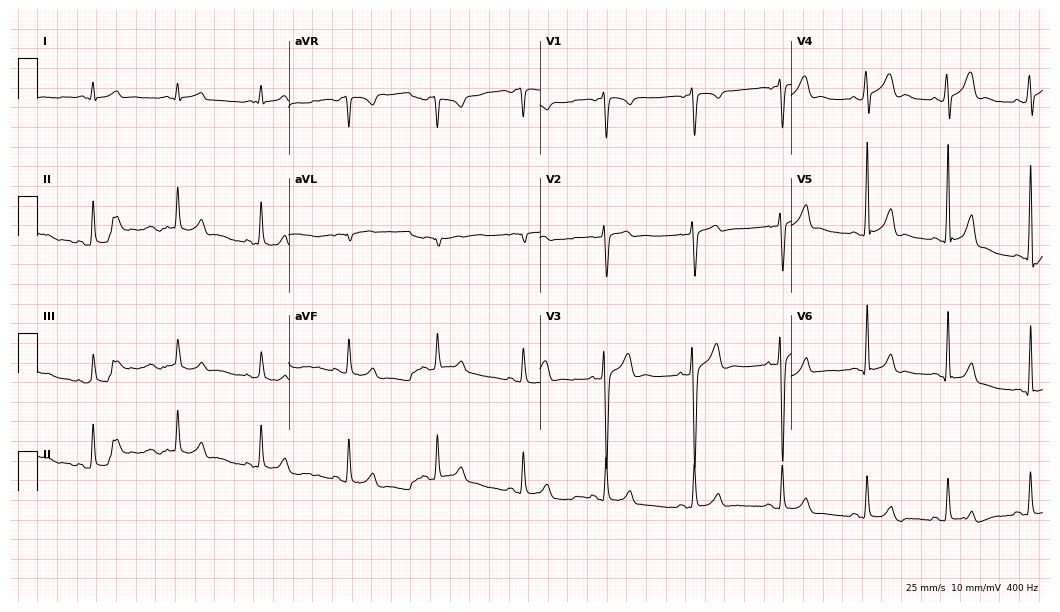
Standard 12-lead ECG recorded from a male, 18 years old (10.2-second recording at 400 Hz). Read as a normal ECG.